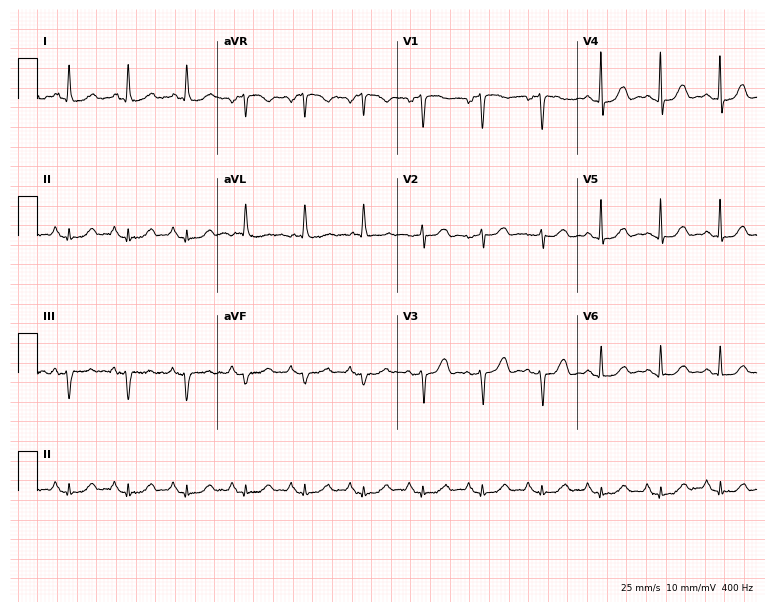
12-lead ECG from an 84-year-old female patient. Screened for six findings — first-degree AV block, right bundle branch block, left bundle branch block, sinus bradycardia, atrial fibrillation, sinus tachycardia — none is recorded.